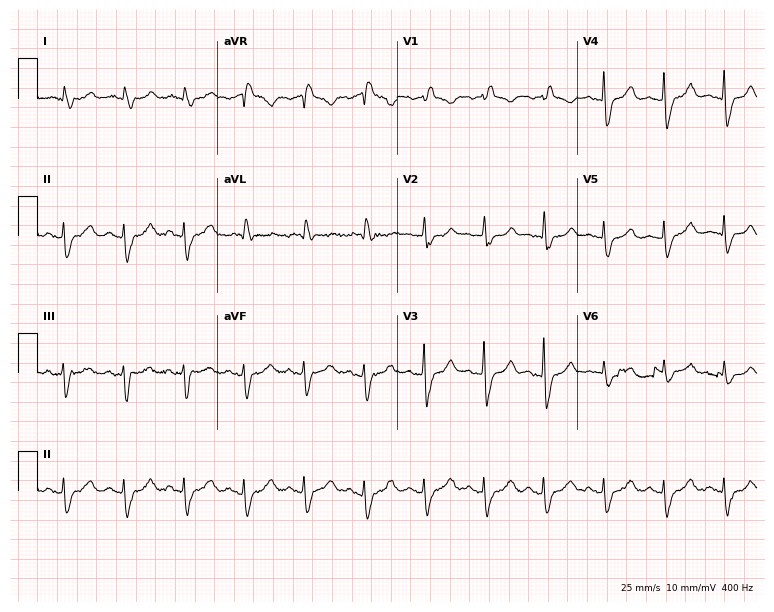
ECG — a female patient, 77 years old. Findings include right bundle branch block.